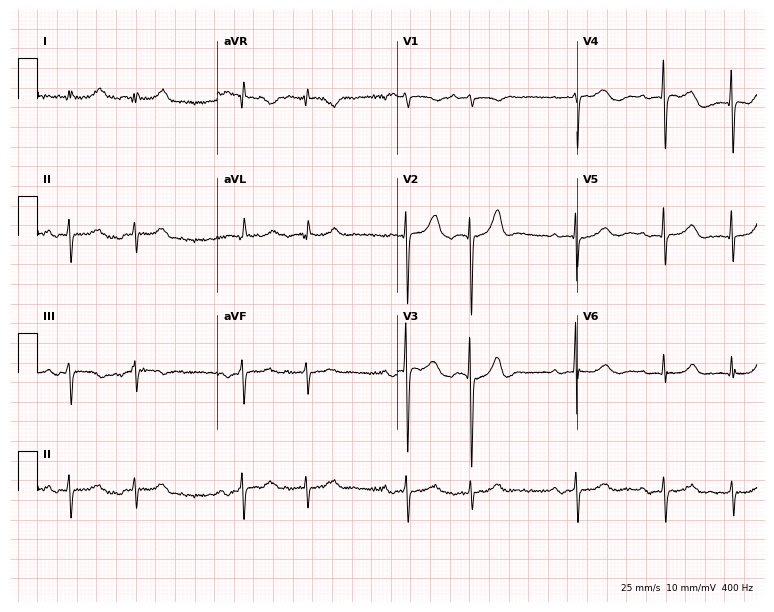
Standard 12-lead ECG recorded from a 76-year-old female. None of these six findings is recorded: first-degree AV block, right bundle branch block (RBBB), left bundle branch block (LBBB), sinus bradycardia, atrial fibrillation (AF), sinus tachycardia. Only these six findings were labelled.